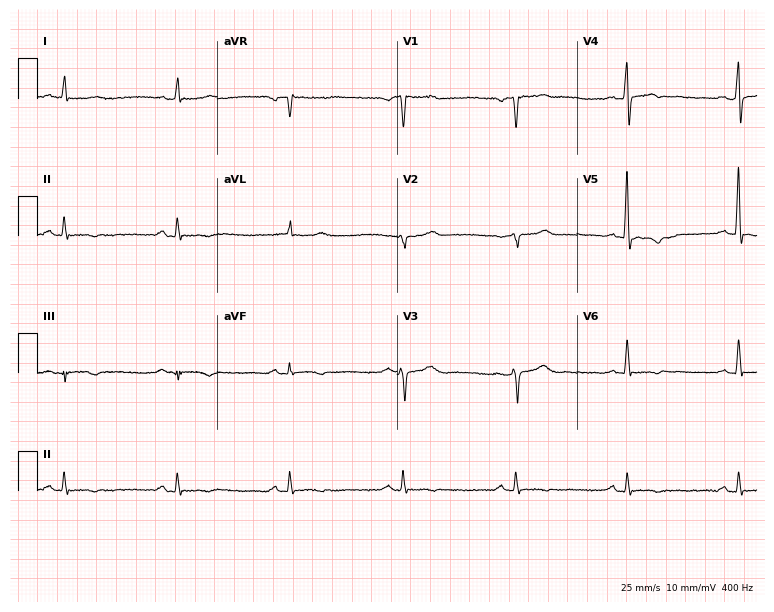
12-lead ECG from a male, 61 years old. No first-degree AV block, right bundle branch block (RBBB), left bundle branch block (LBBB), sinus bradycardia, atrial fibrillation (AF) or sinus tachycardia recorded for this tracing.